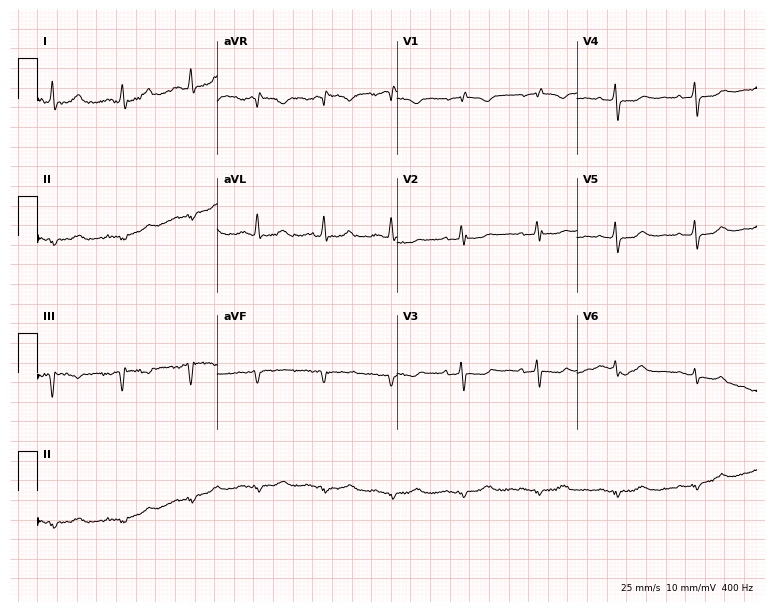
Electrocardiogram (7.3-second recording at 400 Hz), a woman, 54 years old. Of the six screened findings (first-degree AV block, right bundle branch block (RBBB), left bundle branch block (LBBB), sinus bradycardia, atrial fibrillation (AF), sinus tachycardia), none is recorded. Other findings, if any, are not listed.